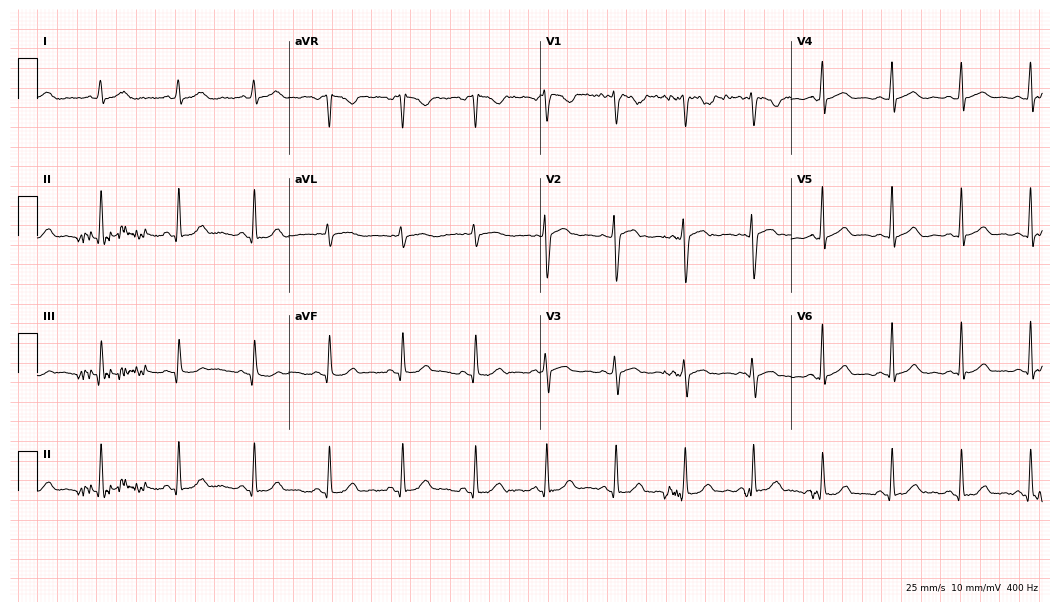
12-lead ECG from a woman, 32 years old. Labelled as a normal ECG.